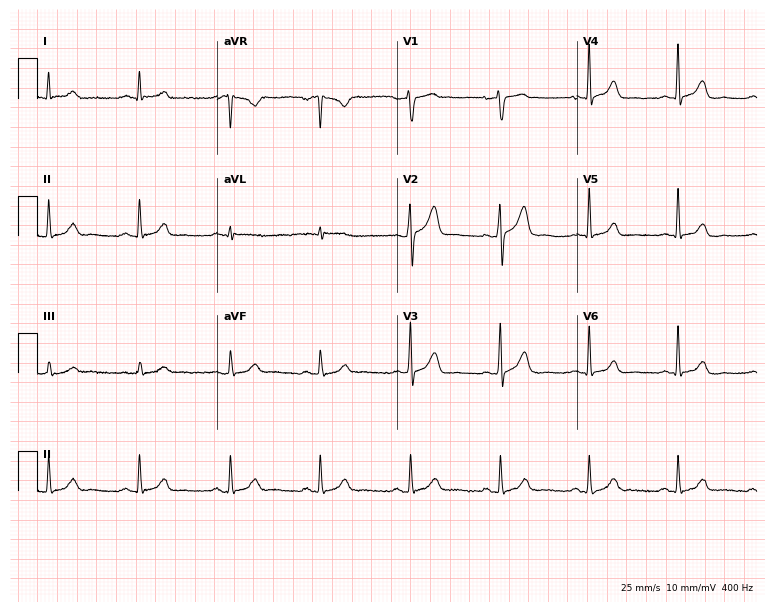
12-lead ECG from a male patient, 24 years old. Screened for six findings — first-degree AV block, right bundle branch block, left bundle branch block, sinus bradycardia, atrial fibrillation, sinus tachycardia — none is recorded. Other findings, if any, are not listed.